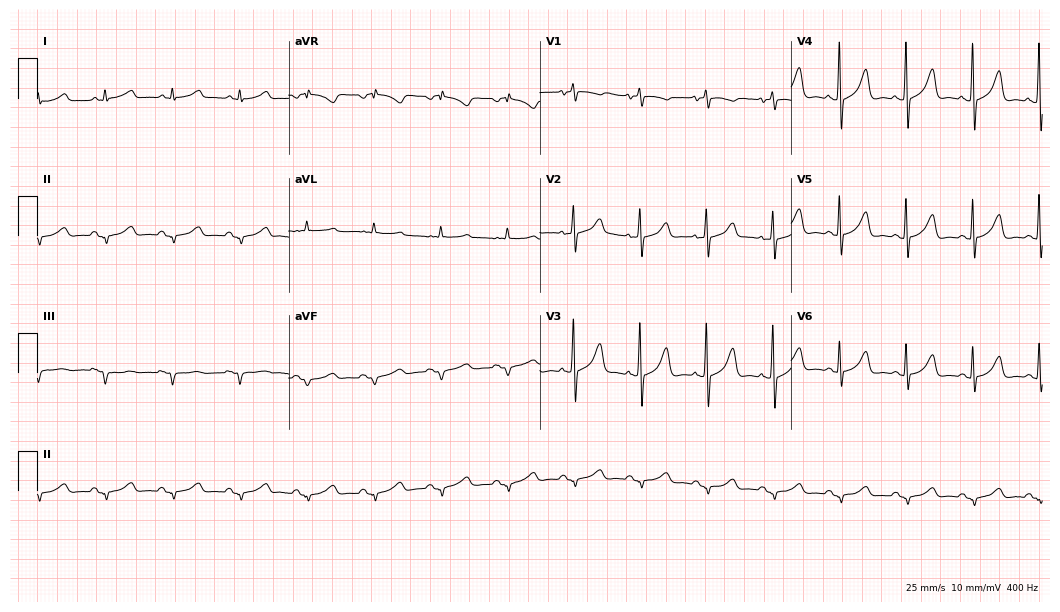
12-lead ECG from a male patient, 60 years old. Screened for six findings — first-degree AV block, right bundle branch block (RBBB), left bundle branch block (LBBB), sinus bradycardia, atrial fibrillation (AF), sinus tachycardia — none is recorded. Other findings, if any, are not listed.